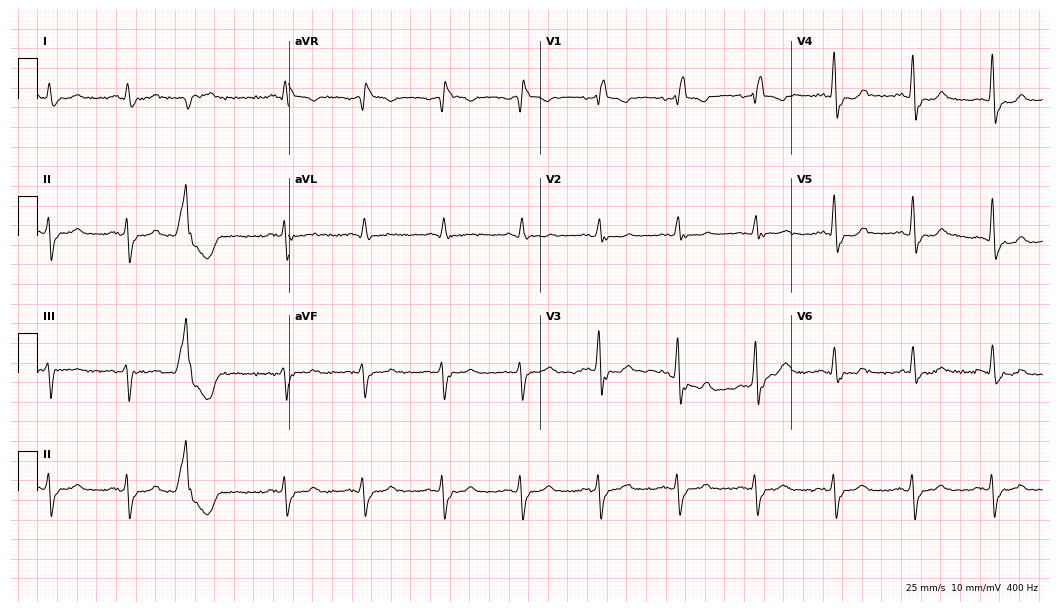
Electrocardiogram, a 77-year-old male. Interpretation includes right bundle branch block.